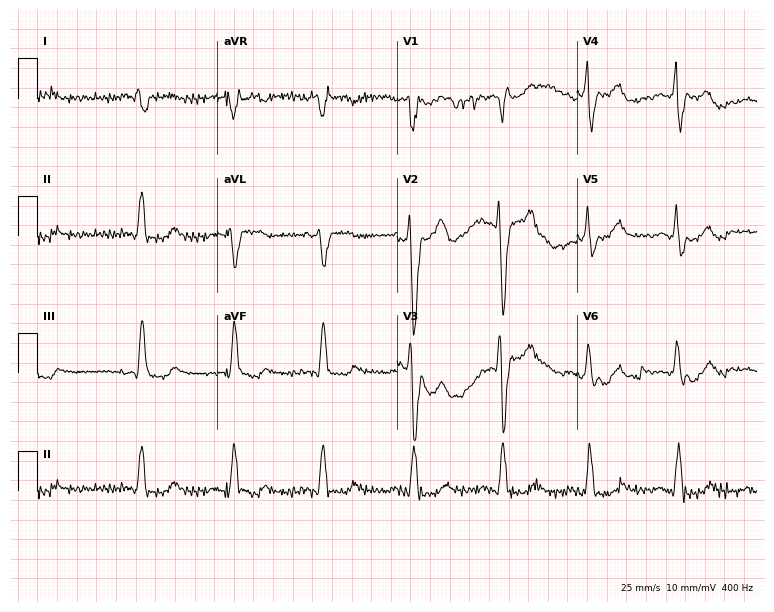
Resting 12-lead electrocardiogram. Patient: a 66-year-old male. None of these six findings is recorded: first-degree AV block, right bundle branch block, left bundle branch block, sinus bradycardia, atrial fibrillation, sinus tachycardia. Findings outside these six are not listed.